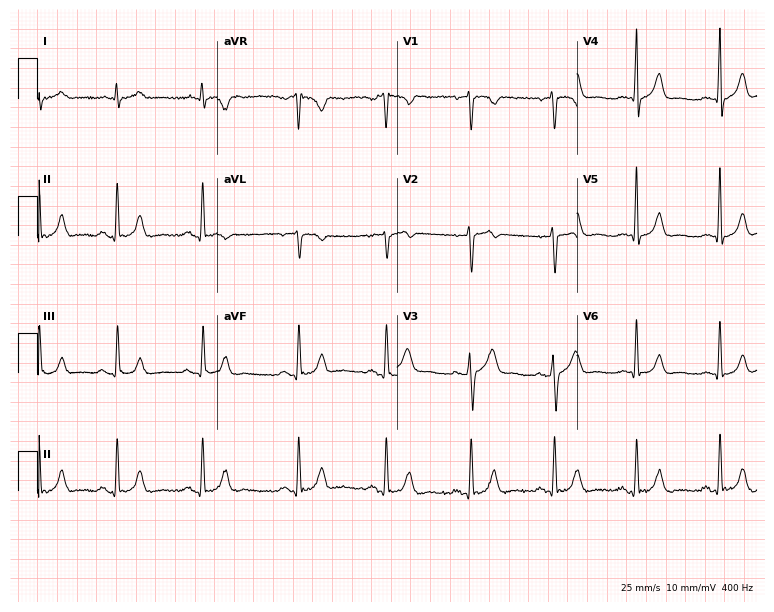
Resting 12-lead electrocardiogram (7.3-second recording at 400 Hz). Patient: a 48-year-old male. Read as a normal ECG.